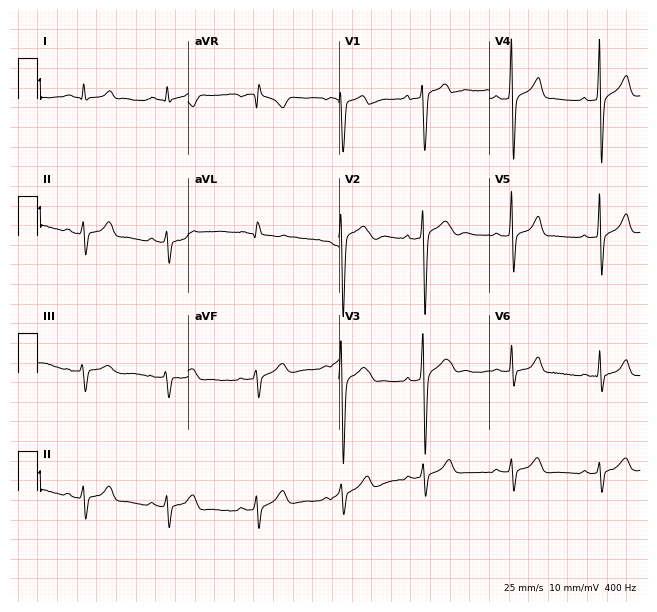
Resting 12-lead electrocardiogram. Patient: a man, 18 years old. None of these six findings is recorded: first-degree AV block, right bundle branch block, left bundle branch block, sinus bradycardia, atrial fibrillation, sinus tachycardia.